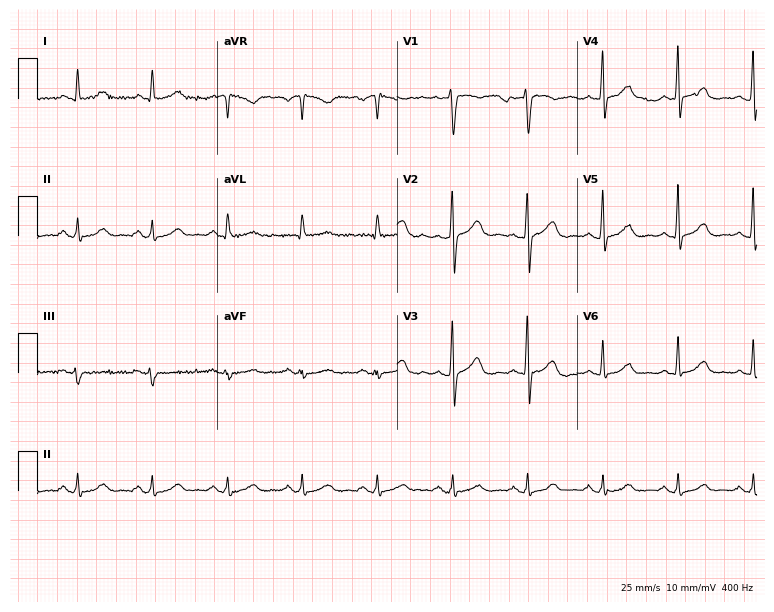
Resting 12-lead electrocardiogram (7.3-second recording at 400 Hz). Patient: an 85-year-old female. None of these six findings is recorded: first-degree AV block, right bundle branch block (RBBB), left bundle branch block (LBBB), sinus bradycardia, atrial fibrillation (AF), sinus tachycardia.